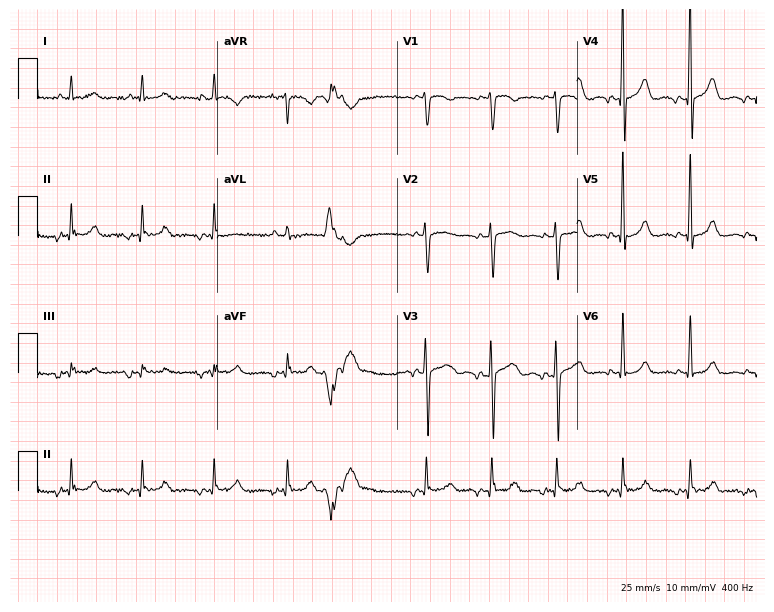
12-lead ECG (7.3-second recording at 400 Hz) from a man, 76 years old. Screened for six findings — first-degree AV block, right bundle branch block, left bundle branch block, sinus bradycardia, atrial fibrillation, sinus tachycardia — none is recorded. Only these six findings were labelled.